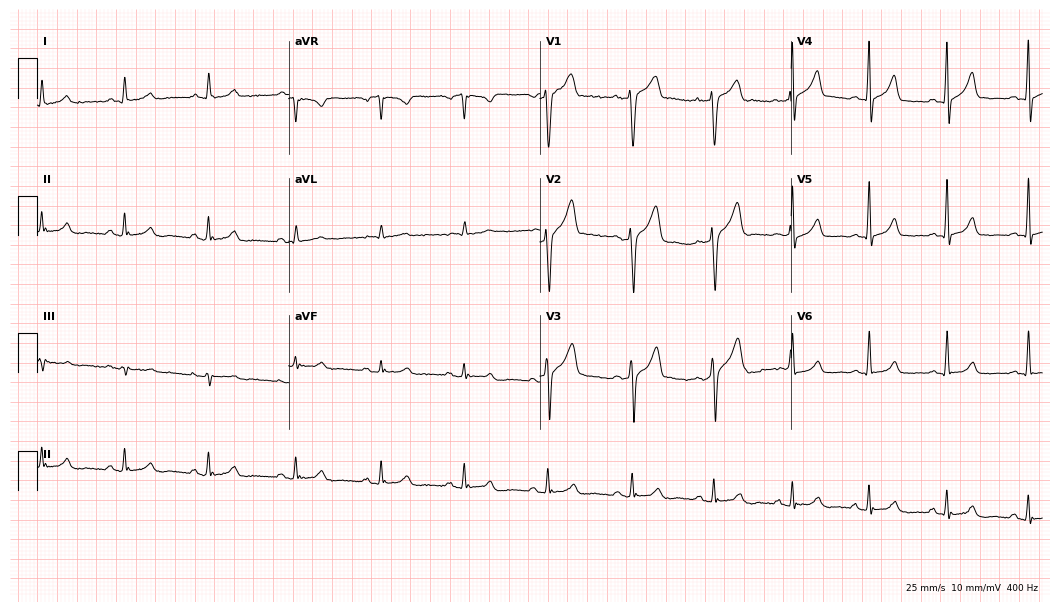
12-lead ECG from a male, 53 years old (10.2-second recording at 400 Hz). Recorded interpretation: within normal limits.